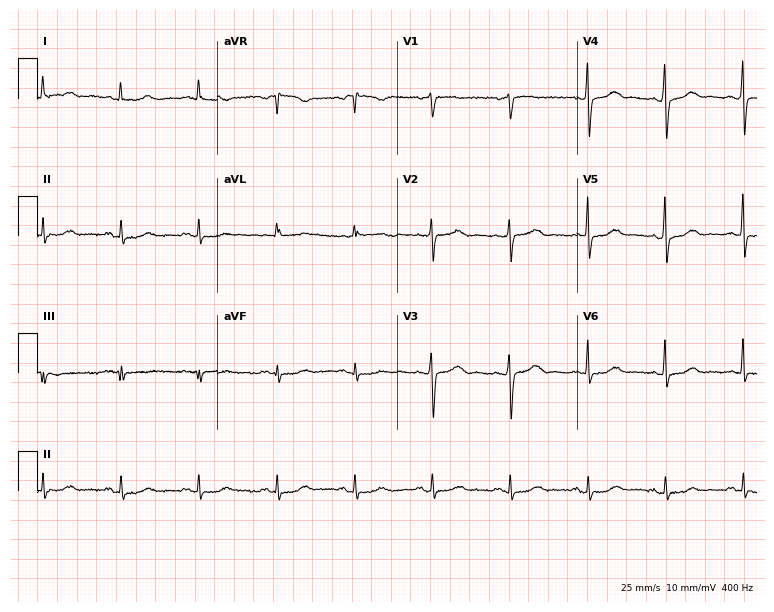
Standard 12-lead ECG recorded from a woman, 52 years old. Read as a normal ECG.